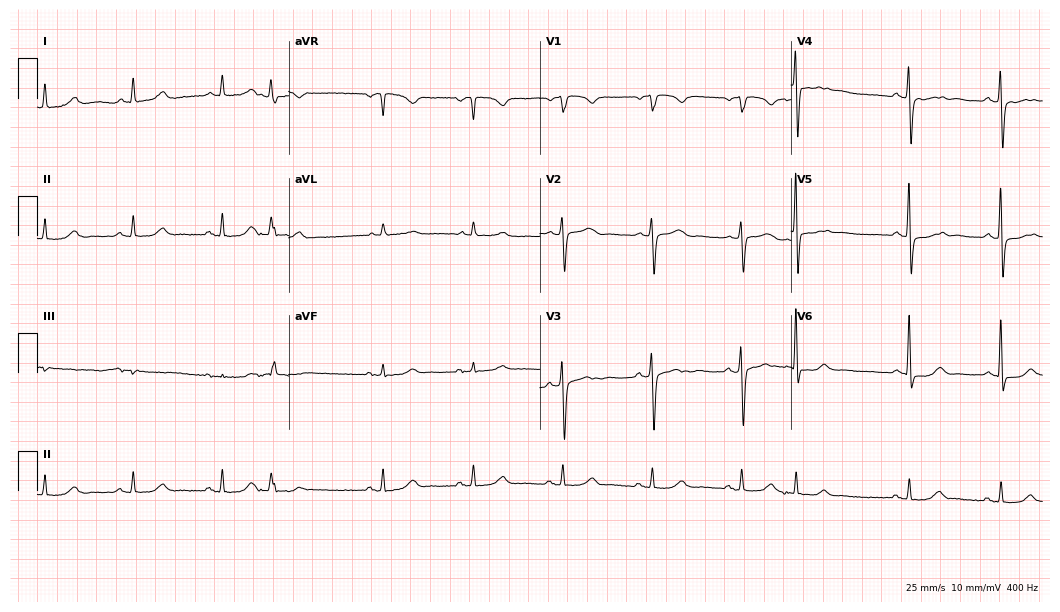
Electrocardiogram (10.2-second recording at 400 Hz), a male patient, 84 years old. Overall reading on record: normal ECG.